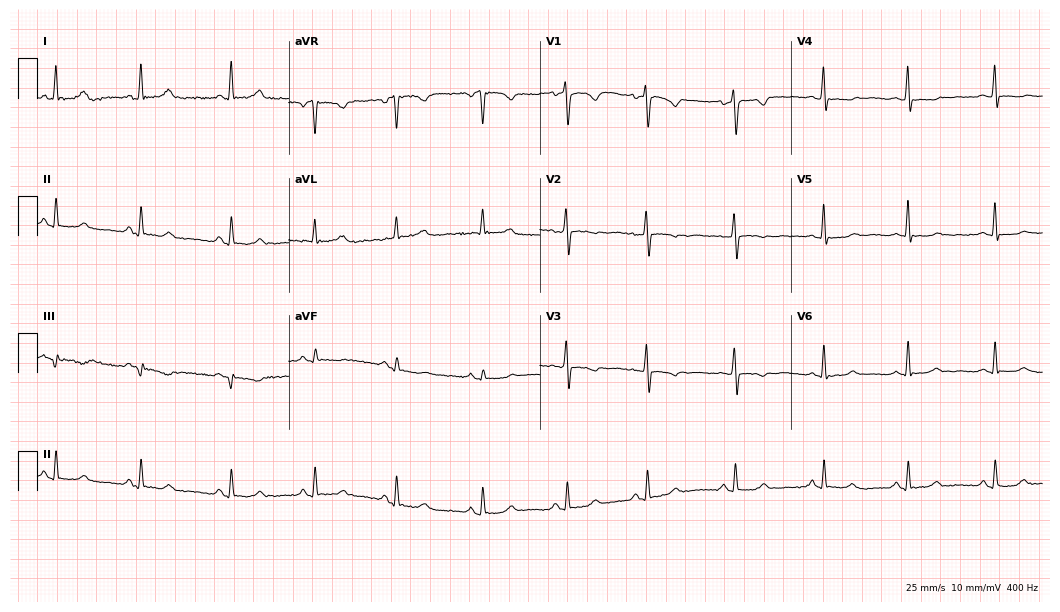
Resting 12-lead electrocardiogram. Patient: a female, 45 years old. None of these six findings is recorded: first-degree AV block, right bundle branch block, left bundle branch block, sinus bradycardia, atrial fibrillation, sinus tachycardia. Only these six findings were labelled.